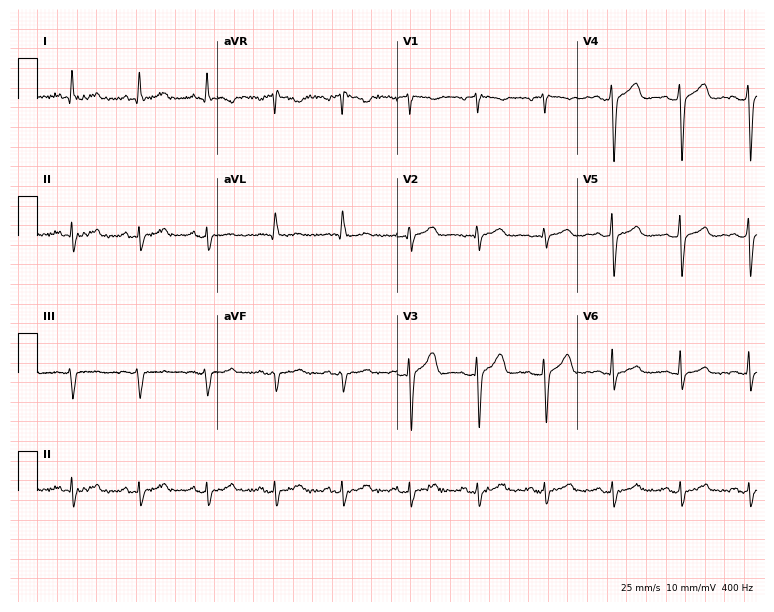
Standard 12-lead ECG recorded from a male patient, 62 years old. None of these six findings is recorded: first-degree AV block, right bundle branch block, left bundle branch block, sinus bradycardia, atrial fibrillation, sinus tachycardia. Findings outside these six are not listed.